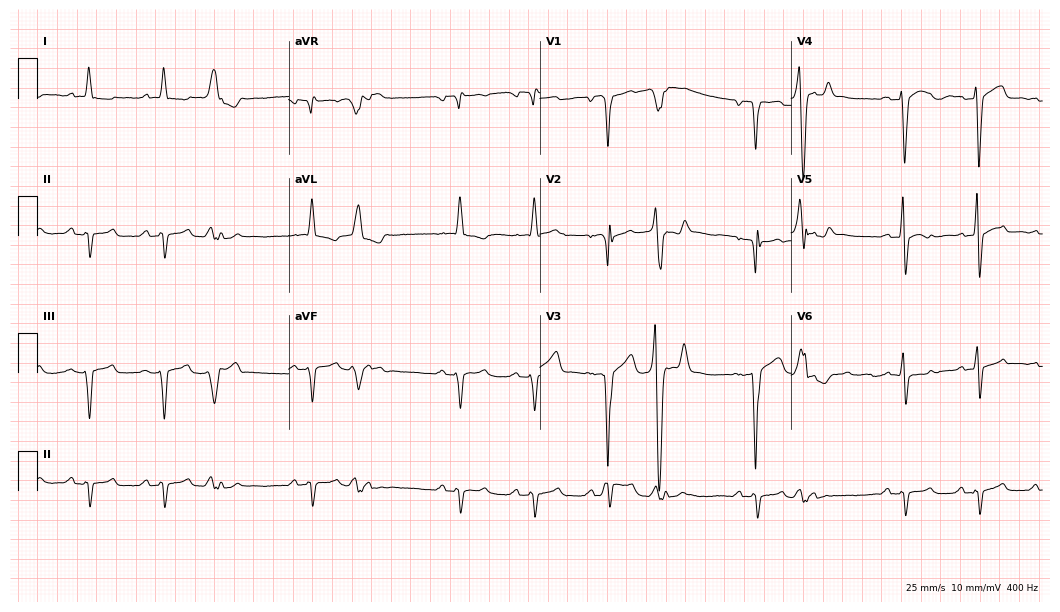
12-lead ECG (10.2-second recording at 400 Hz) from a man, 60 years old. Screened for six findings — first-degree AV block, right bundle branch block, left bundle branch block, sinus bradycardia, atrial fibrillation, sinus tachycardia — none is recorded. Other findings, if any, are not listed.